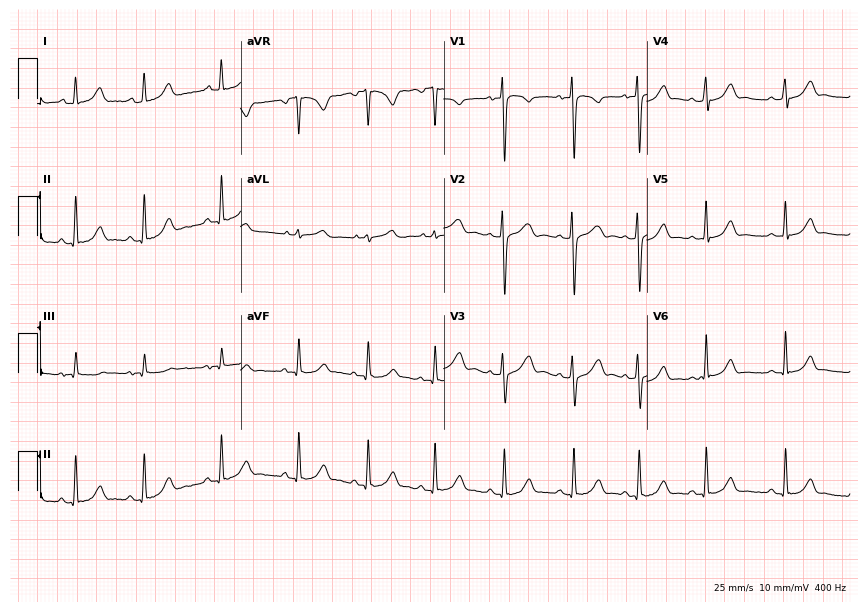
ECG (8.3-second recording at 400 Hz) — a woman, 18 years old. Labelled as a normal ECG.